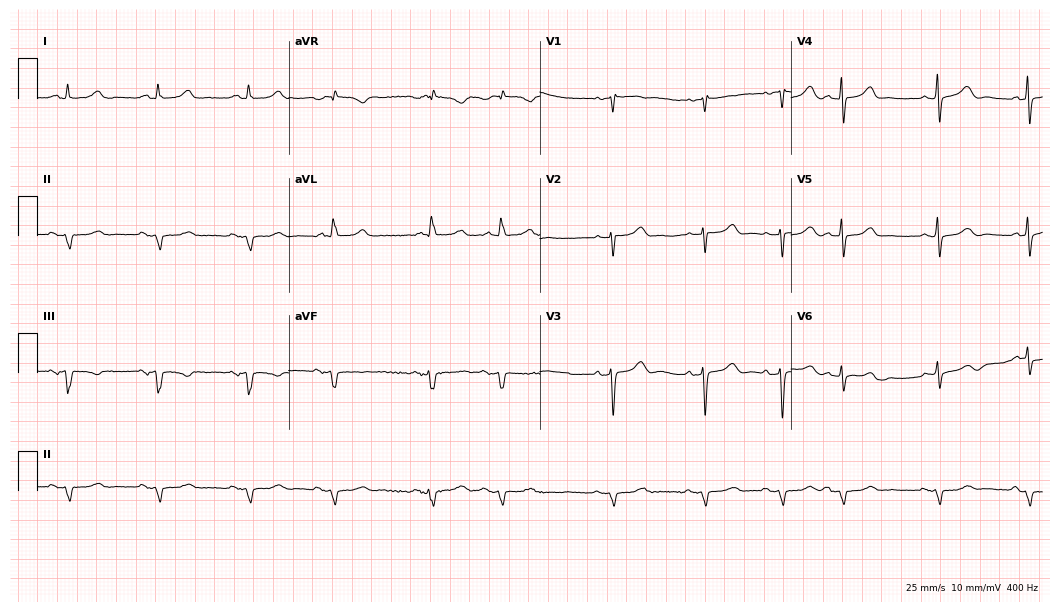
12-lead ECG from an 83-year-old female (10.2-second recording at 400 Hz). No first-degree AV block, right bundle branch block, left bundle branch block, sinus bradycardia, atrial fibrillation or sinus tachycardia recorded for this tracing.